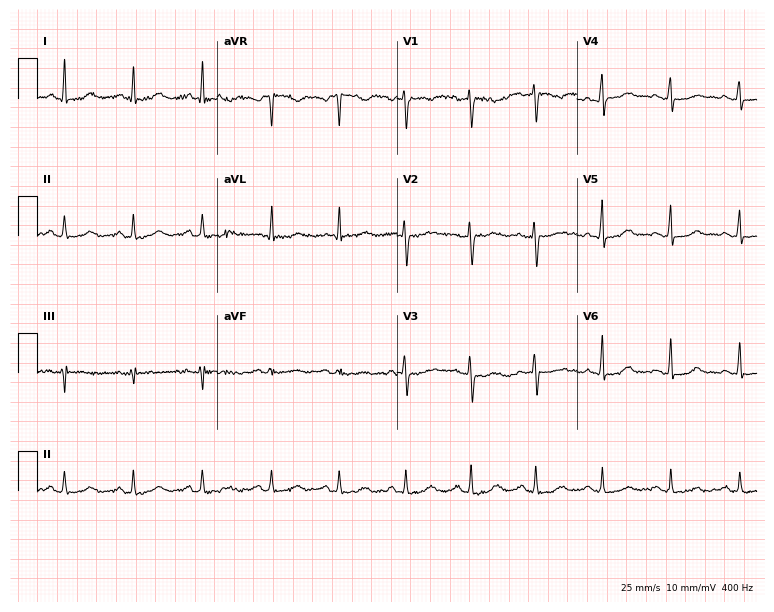
Standard 12-lead ECG recorded from a female patient, 31 years old (7.3-second recording at 400 Hz). None of these six findings is recorded: first-degree AV block, right bundle branch block, left bundle branch block, sinus bradycardia, atrial fibrillation, sinus tachycardia. Other findings, if any, are not listed.